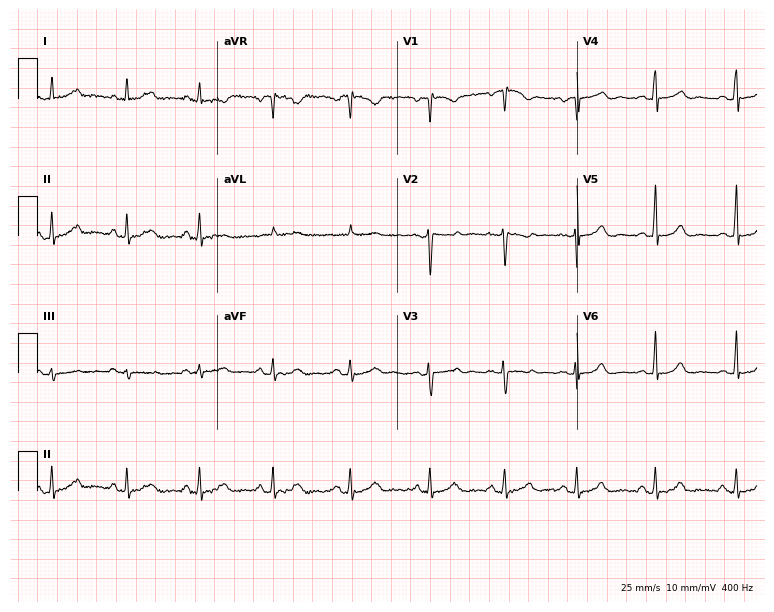
12-lead ECG (7.3-second recording at 400 Hz) from a woman, 37 years old. Labelled as a normal ECG.